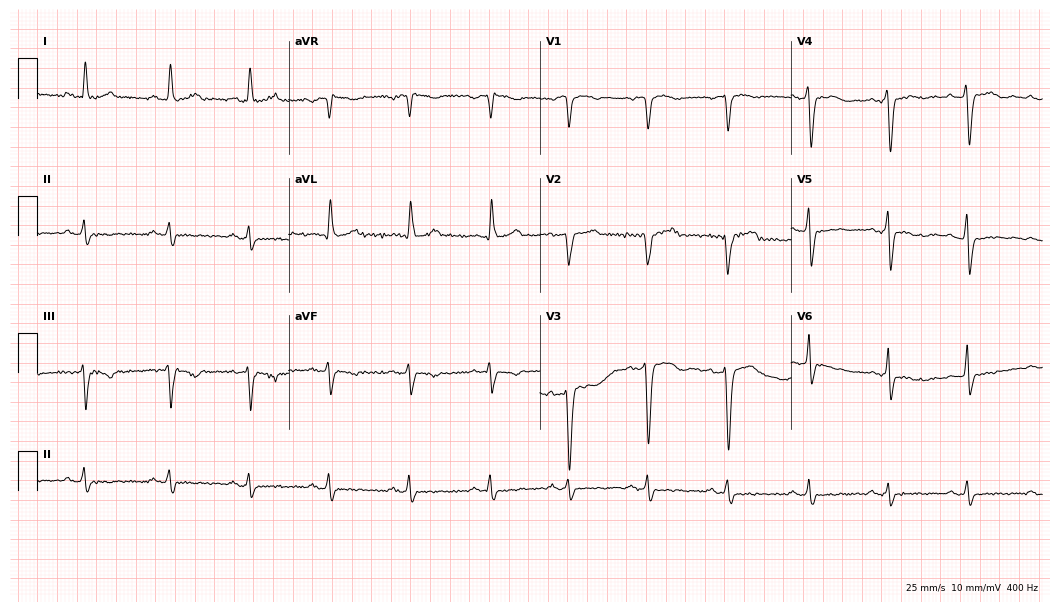
Resting 12-lead electrocardiogram (10.2-second recording at 400 Hz). Patient: a 43-year-old female. None of these six findings is recorded: first-degree AV block, right bundle branch block (RBBB), left bundle branch block (LBBB), sinus bradycardia, atrial fibrillation (AF), sinus tachycardia.